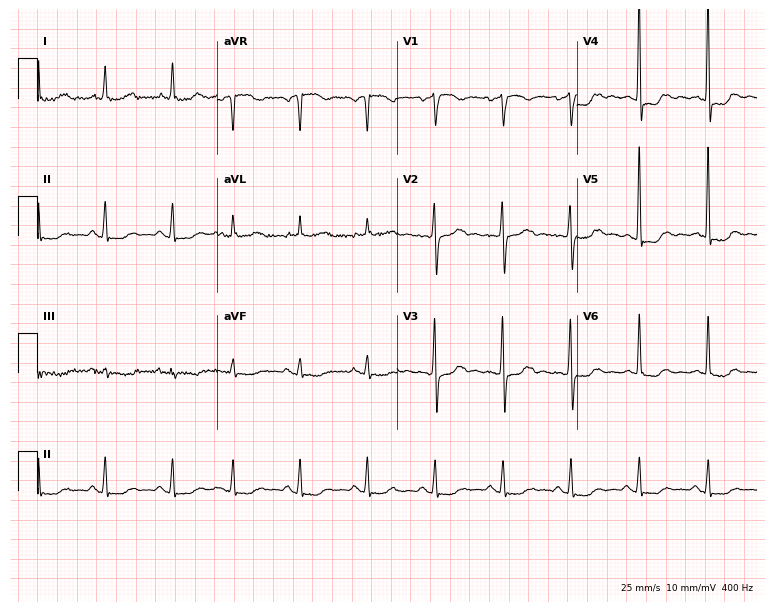
Electrocardiogram (7.3-second recording at 400 Hz), a woman, 70 years old. Of the six screened findings (first-degree AV block, right bundle branch block, left bundle branch block, sinus bradycardia, atrial fibrillation, sinus tachycardia), none is recorded. Only these six findings were labelled.